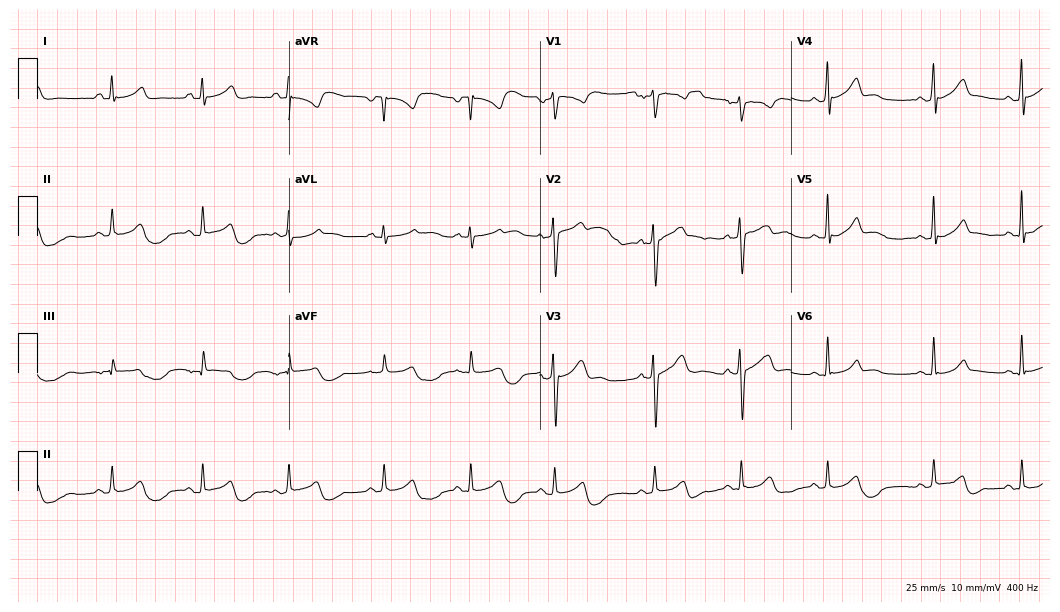
12-lead ECG (10.2-second recording at 400 Hz) from a 29-year-old female. Screened for six findings — first-degree AV block, right bundle branch block (RBBB), left bundle branch block (LBBB), sinus bradycardia, atrial fibrillation (AF), sinus tachycardia — none is recorded. Other findings, if any, are not listed.